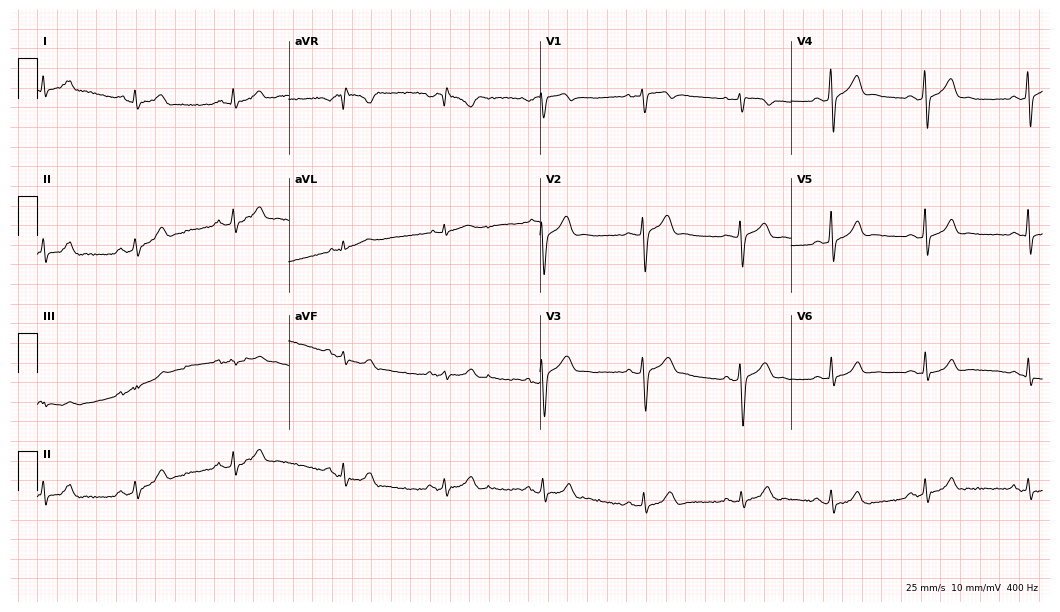
12-lead ECG from a 23-year-old male. Labelled as a normal ECG.